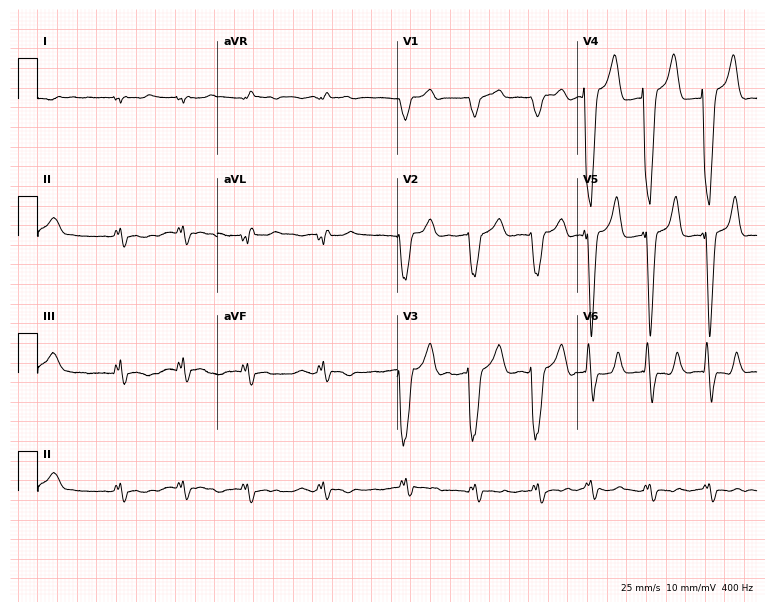
ECG — a male patient, 83 years old. Findings include left bundle branch block, atrial fibrillation.